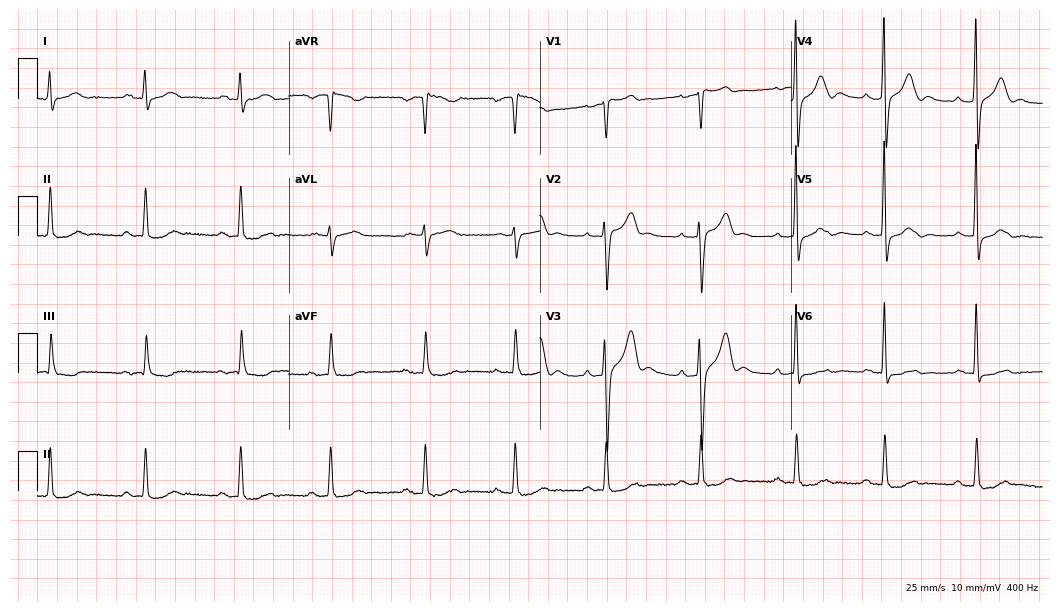
12-lead ECG from a male patient, 72 years old. Recorded interpretation: within normal limits.